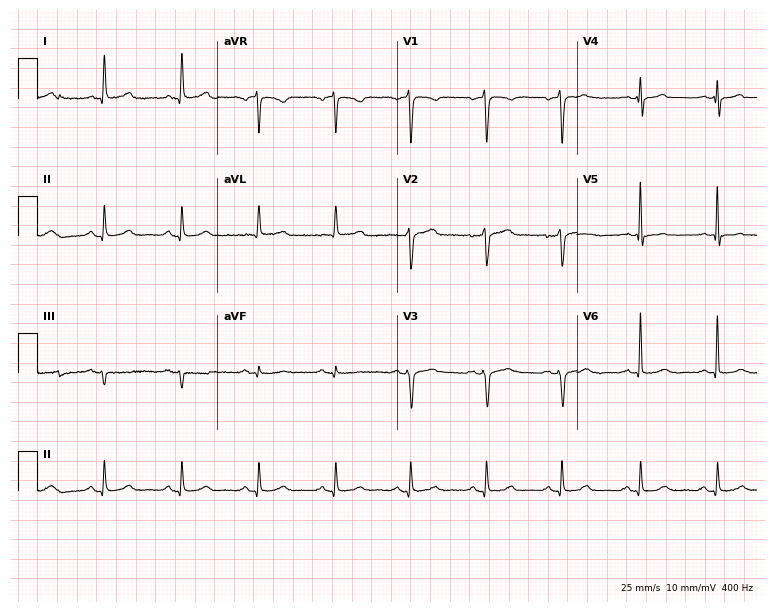
ECG — a female patient, 72 years old. Screened for six findings — first-degree AV block, right bundle branch block, left bundle branch block, sinus bradycardia, atrial fibrillation, sinus tachycardia — none is recorded. Only these six findings were labelled.